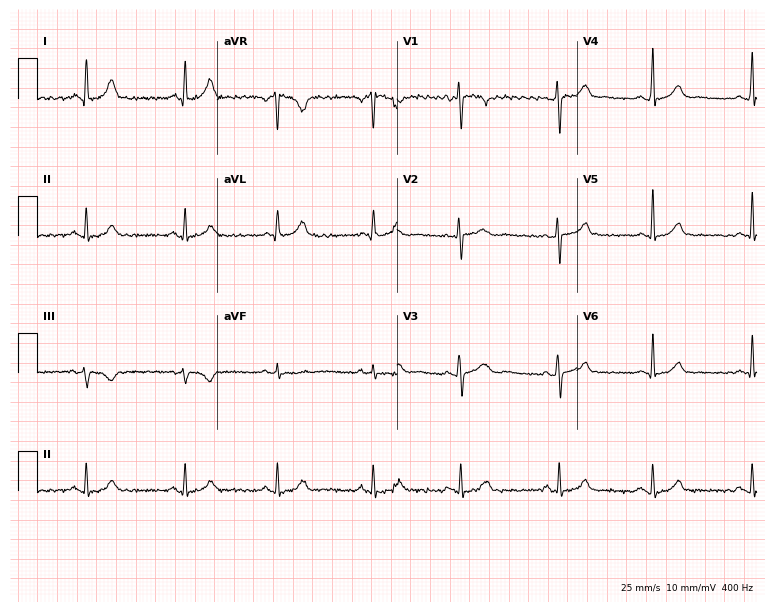
Electrocardiogram (7.3-second recording at 400 Hz), a woman, 36 years old. Overall reading on record: normal ECG.